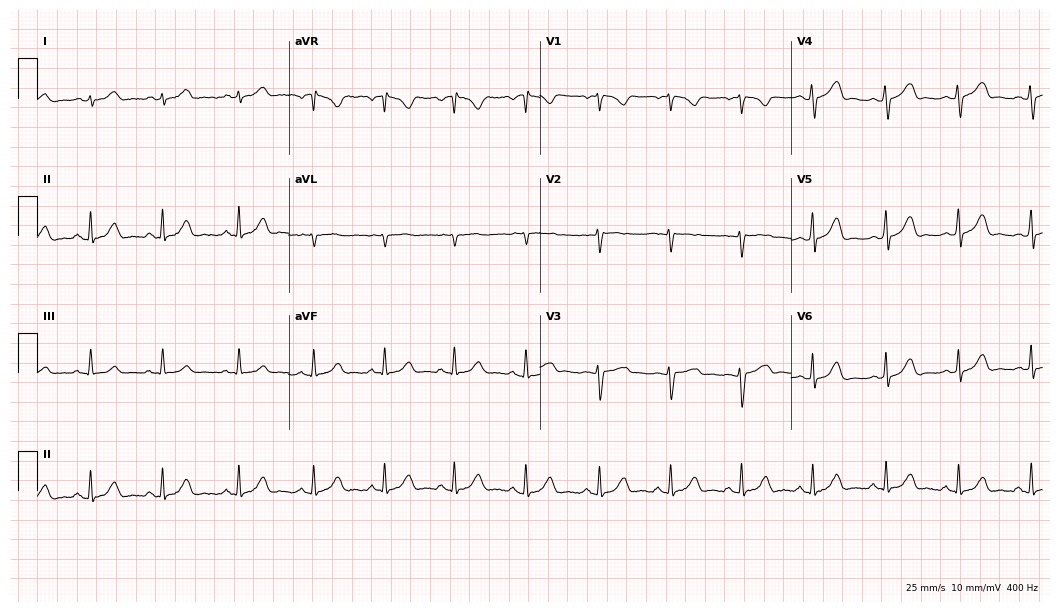
Standard 12-lead ECG recorded from a 21-year-old female patient (10.2-second recording at 400 Hz). Read as a normal ECG.